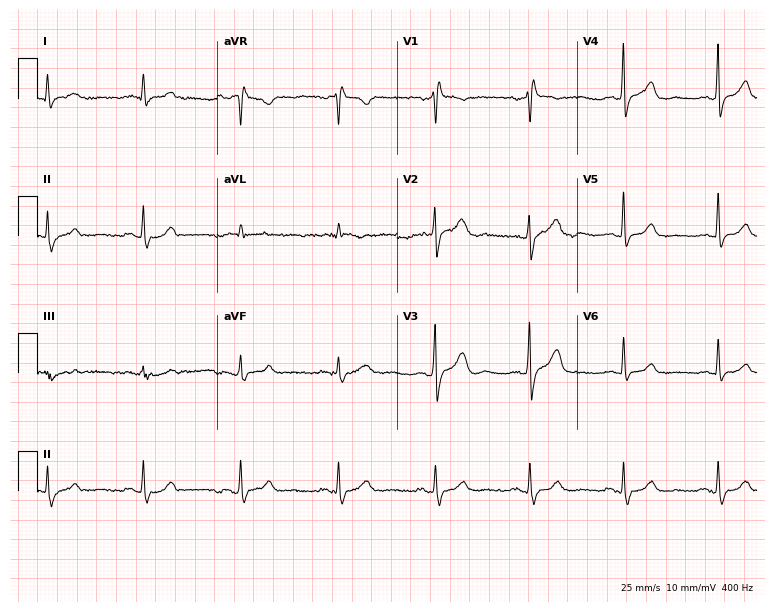
Standard 12-lead ECG recorded from a 57-year-old male. None of these six findings is recorded: first-degree AV block, right bundle branch block (RBBB), left bundle branch block (LBBB), sinus bradycardia, atrial fibrillation (AF), sinus tachycardia. Only these six findings were labelled.